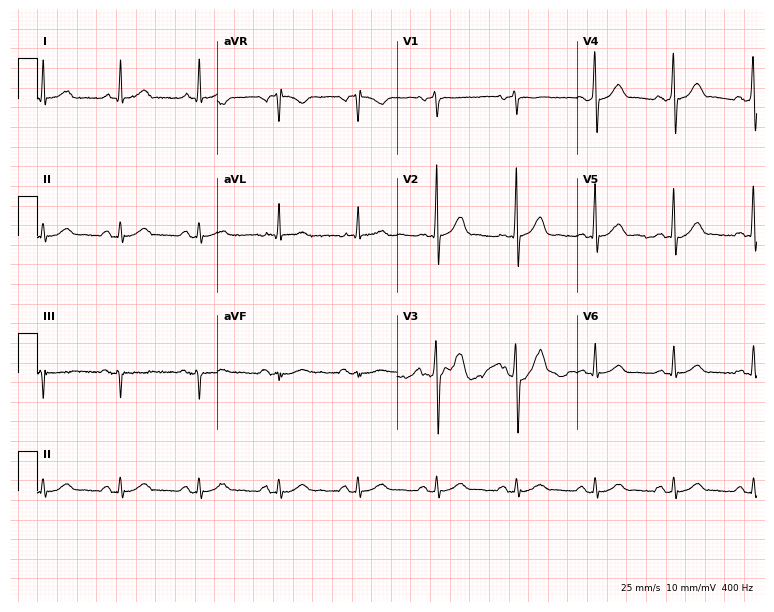
12-lead ECG (7.3-second recording at 400 Hz) from a male, 67 years old. Labelled as a normal ECG.